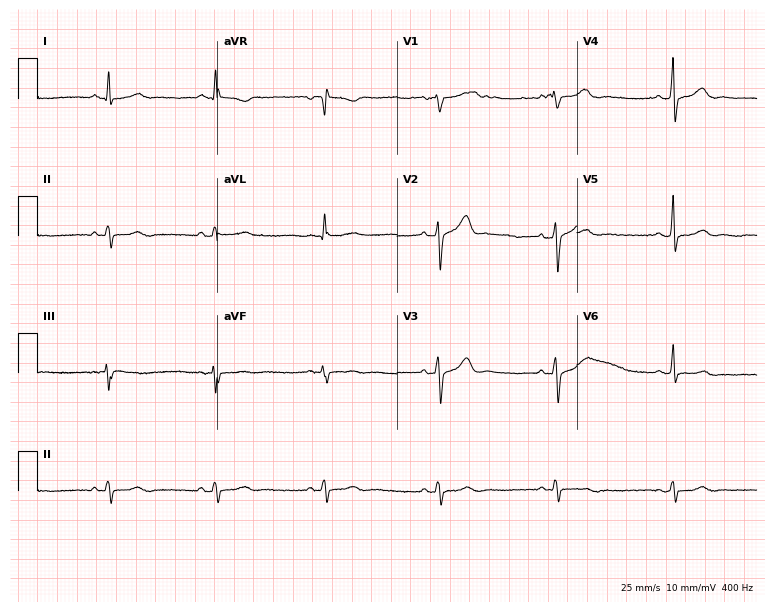
Electrocardiogram (7.3-second recording at 400 Hz), a 61-year-old male. Of the six screened findings (first-degree AV block, right bundle branch block, left bundle branch block, sinus bradycardia, atrial fibrillation, sinus tachycardia), none is recorded. Only these six findings were labelled.